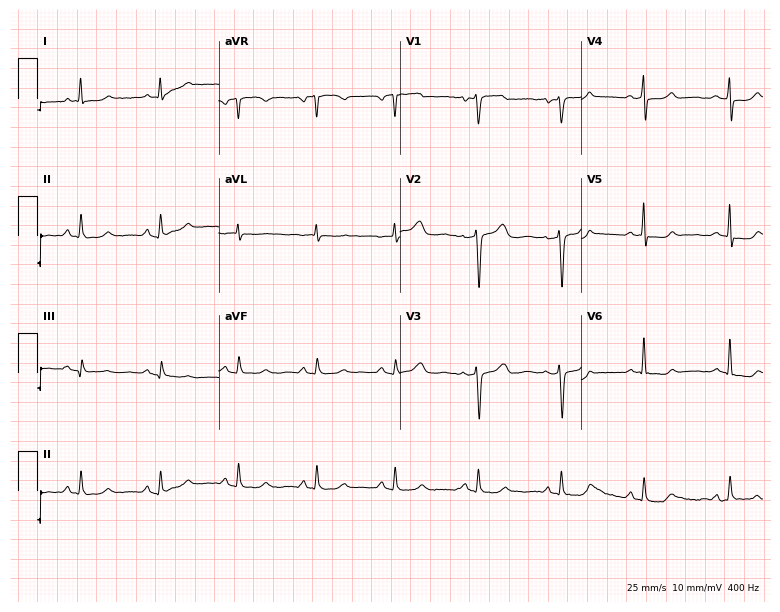
Standard 12-lead ECG recorded from a 53-year-old female. None of these six findings is recorded: first-degree AV block, right bundle branch block, left bundle branch block, sinus bradycardia, atrial fibrillation, sinus tachycardia.